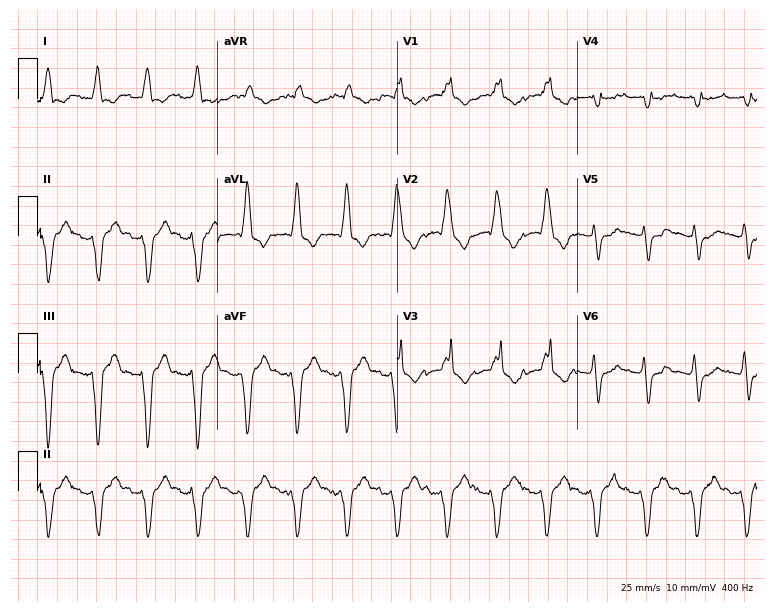
12-lead ECG from an 80-year-old woman. Shows right bundle branch block, sinus tachycardia (a sinus rate of 100 beats per minute or more).